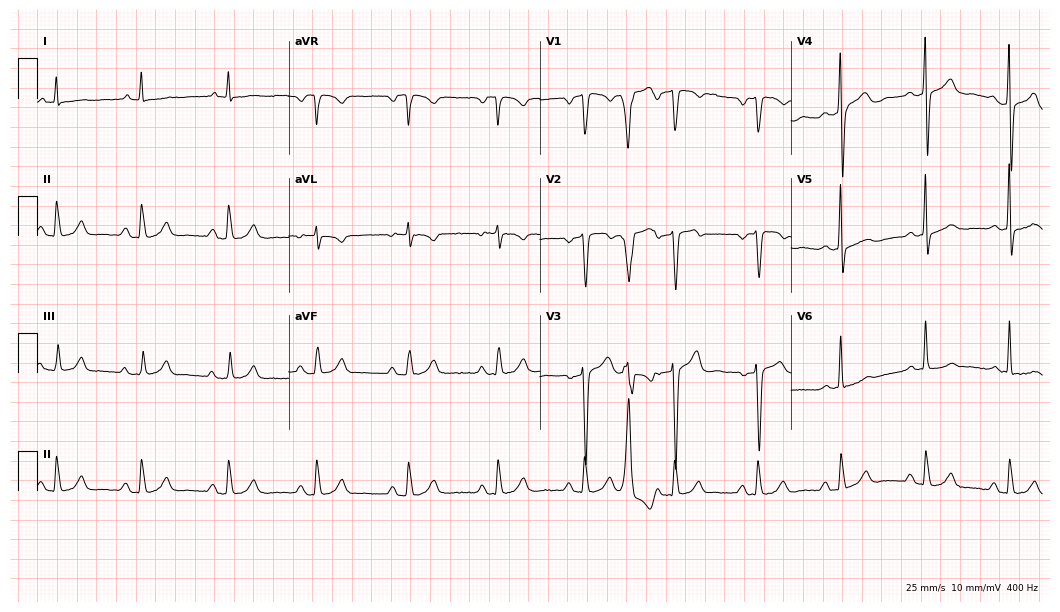
12-lead ECG from a male patient, 59 years old. No first-degree AV block, right bundle branch block, left bundle branch block, sinus bradycardia, atrial fibrillation or sinus tachycardia recorded for this tracing.